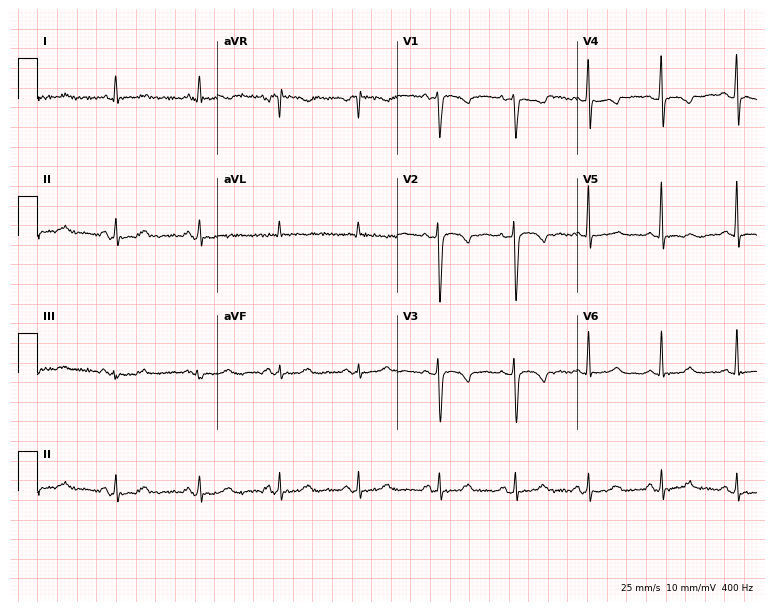
Standard 12-lead ECG recorded from a 48-year-old woman (7.3-second recording at 400 Hz). None of these six findings is recorded: first-degree AV block, right bundle branch block, left bundle branch block, sinus bradycardia, atrial fibrillation, sinus tachycardia. Other findings, if any, are not listed.